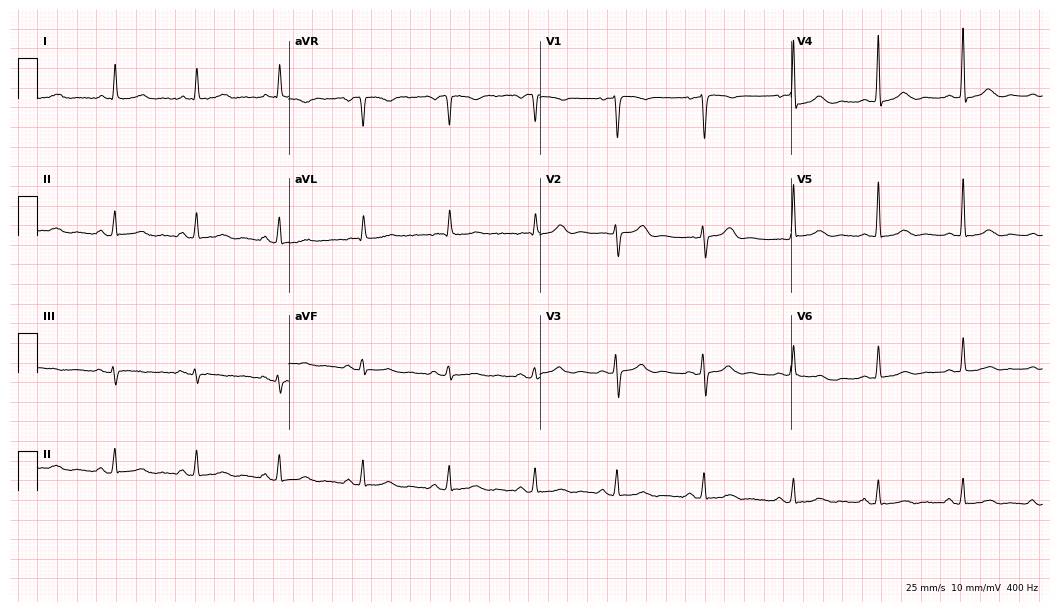
ECG — a 78-year-old woman. Labelled as a normal ECG.